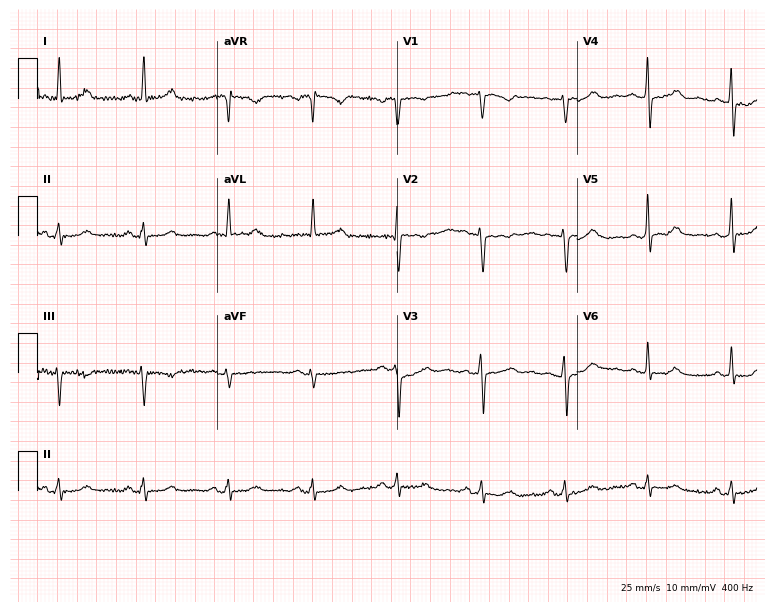
12-lead ECG from a 69-year-old woman. No first-degree AV block, right bundle branch block, left bundle branch block, sinus bradycardia, atrial fibrillation or sinus tachycardia recorded for this tracing.